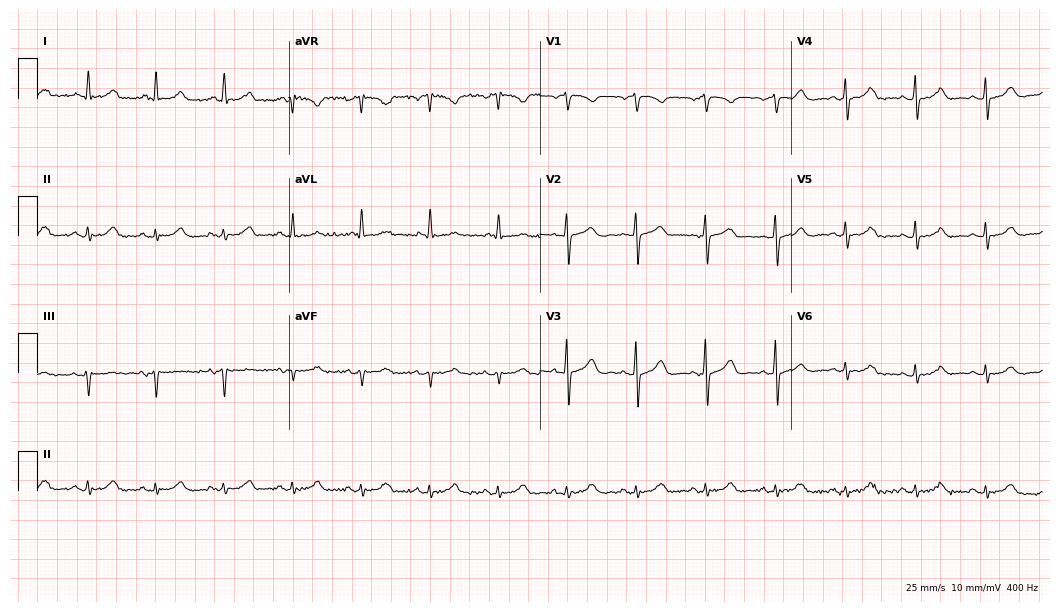
Resting 12-lead electrocardiogram (10.2-second recording at 400 Hz). Patient: a female, 78 years old. Read as a normal ECG.